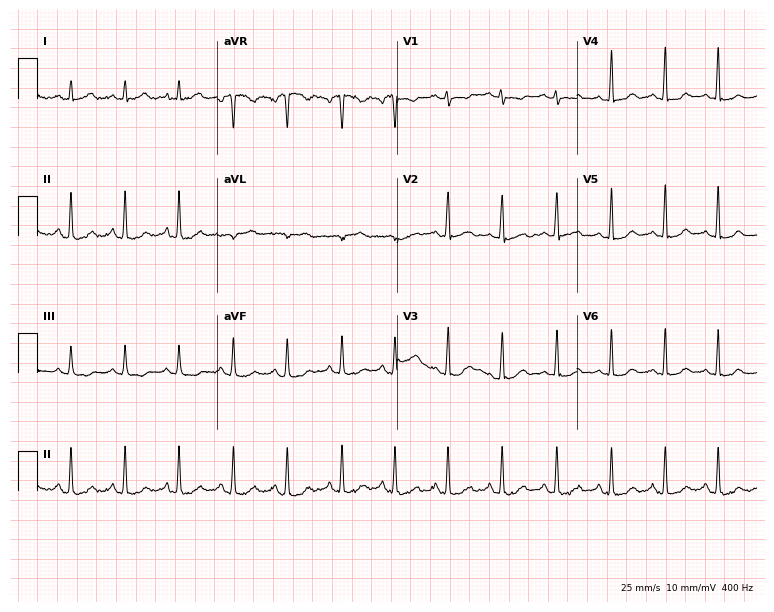
Standard 12-lead ECG recorded from a woman, 20 years old. None of these six findings is recorded: first-degree AV block, right bundle branch block (RBBB), left bundle branch block (LBBB), sinus bradycardia, atrial fibrillation (AF), sinus tachycardia. Findings outside these six are not listed.